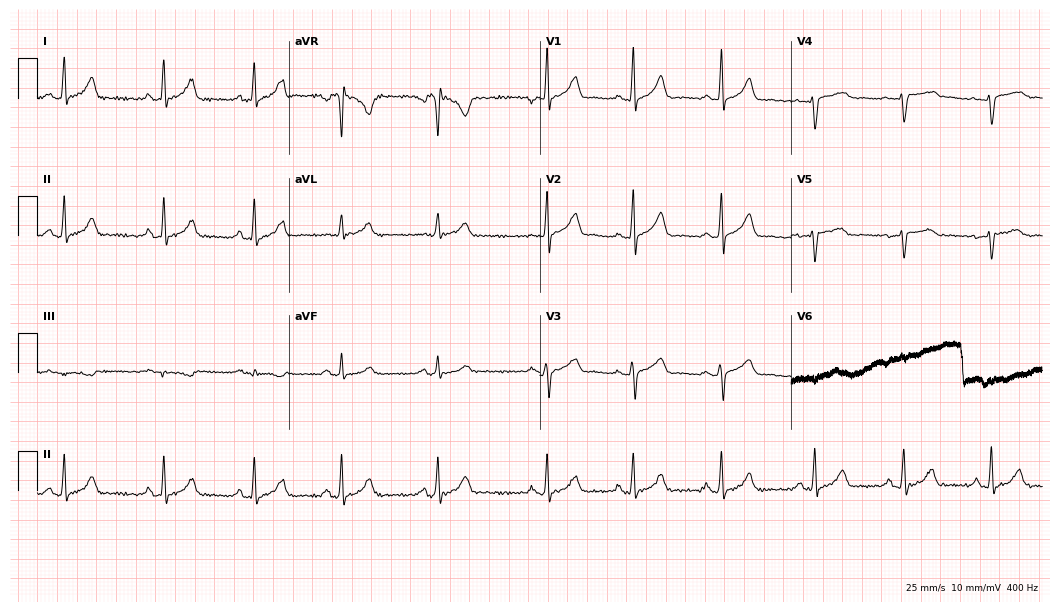
Standard 12-lead ECG recorded from a female, 35 years old (10.2-second recording at 400 Hz). None of these six findings is recorded: first-degree AV block, right bundle branch block, left bundle branch block, sinus bradycardia, atrial fibrillation, sinus tachycardia. Other findings, if any, are not listed.